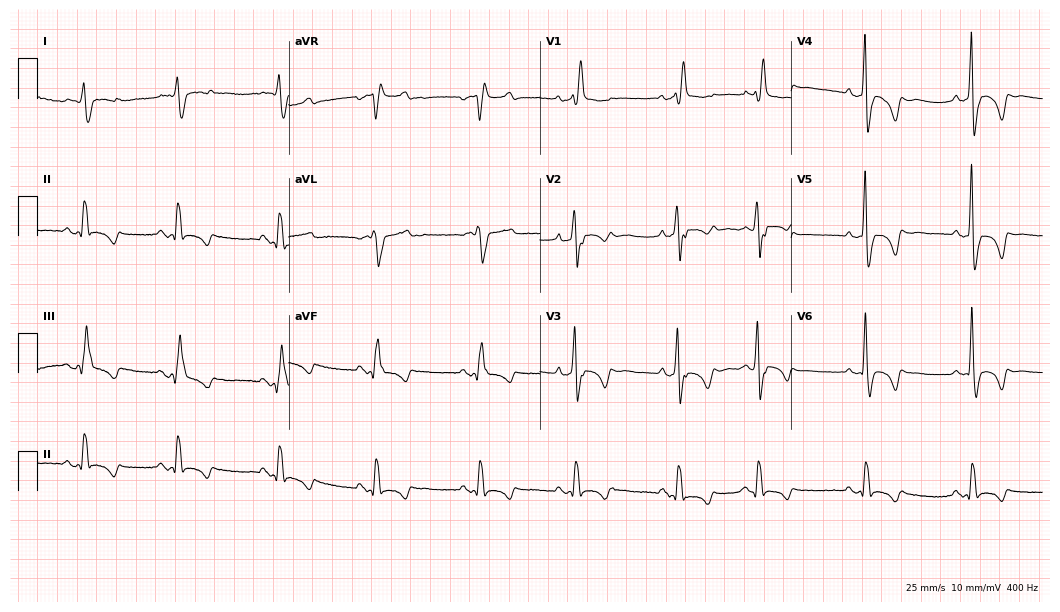
ECG — a 58-year-old female patient. Screened for six findings — first-degree AV block, right bundle branch block, left bundle branch block, sinus bradycardia, atrial fibrillation, sinus tachycardia — none is recorded. Only these six findings were labelled.